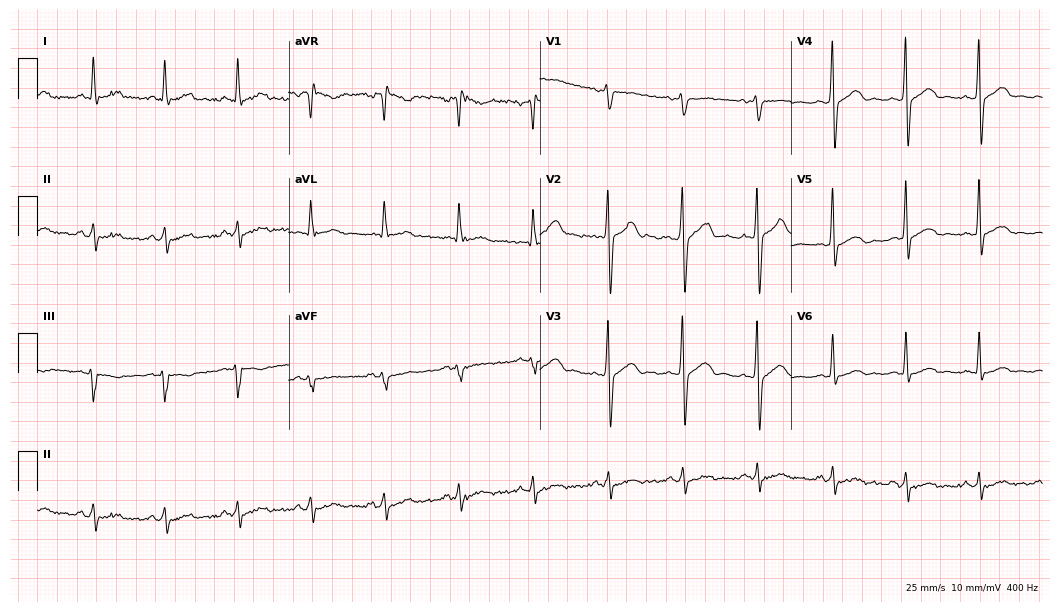
ECG — a male, 39 years old. Labelled as a normal ECG.